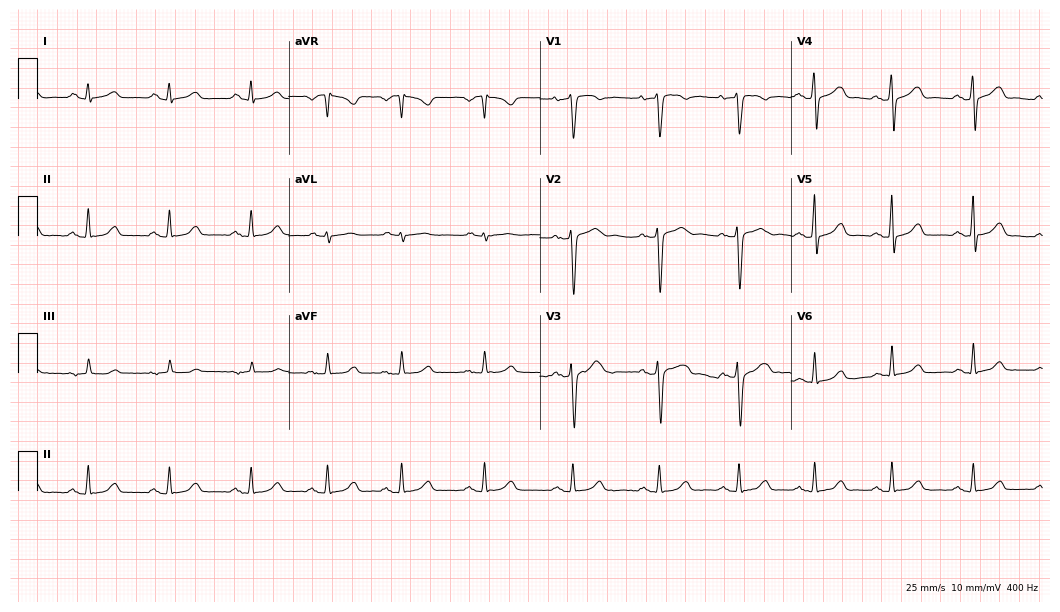
12-lead ECG (10.2-second recording at 400 Hz) from a man, 38 years old. Labelled as a normal ECG.